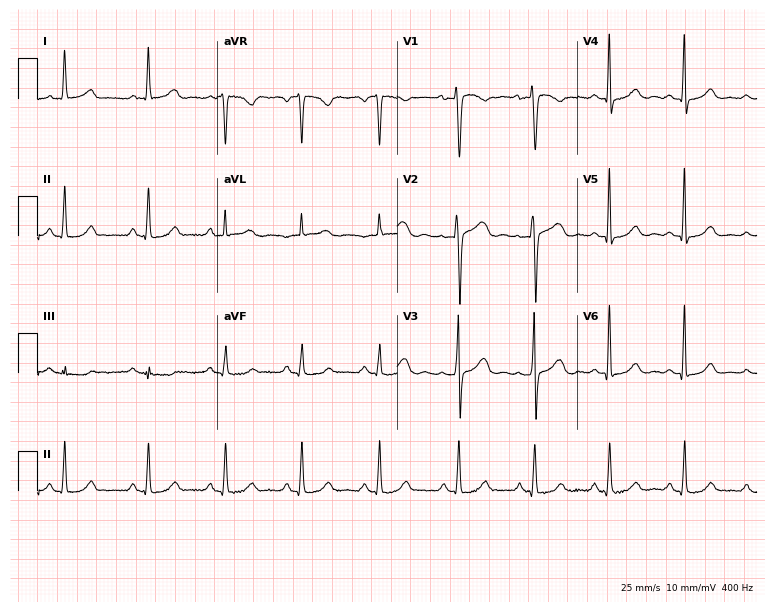
ECG — a woman, 42 years old. Labelled as a normal ECG.